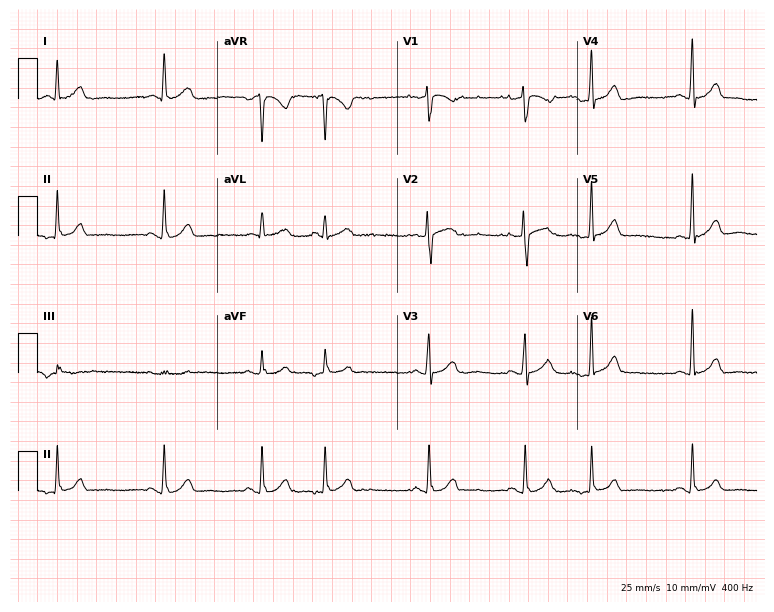
ECG (7.3-second recording at 400 Hz) — a female, 63 years old. Screened for six findings — first-degree AV block, right bundle branch block, left bundle branch block, sinus bradycardia, atrial fibrillation, sinus tachycardia — none is recorded. Only these six findings were labelled.